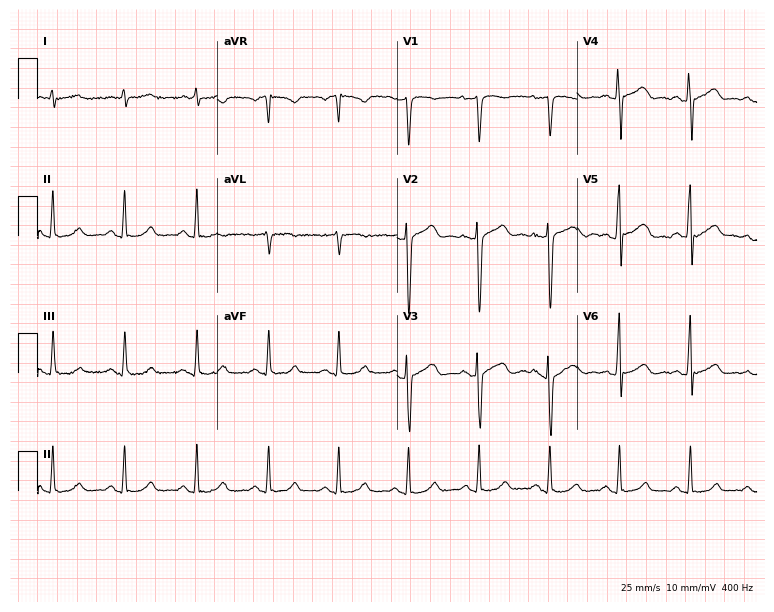
Electrocardiogram (7.3-second recording at 400 Hz), a man, 61 years old. Of the six screened findings (first-degree AV block, right bundle branch block, left bundle branch block, sinus bradycardia, atrial fibrillation, sinus tachycardia), none is recorded.